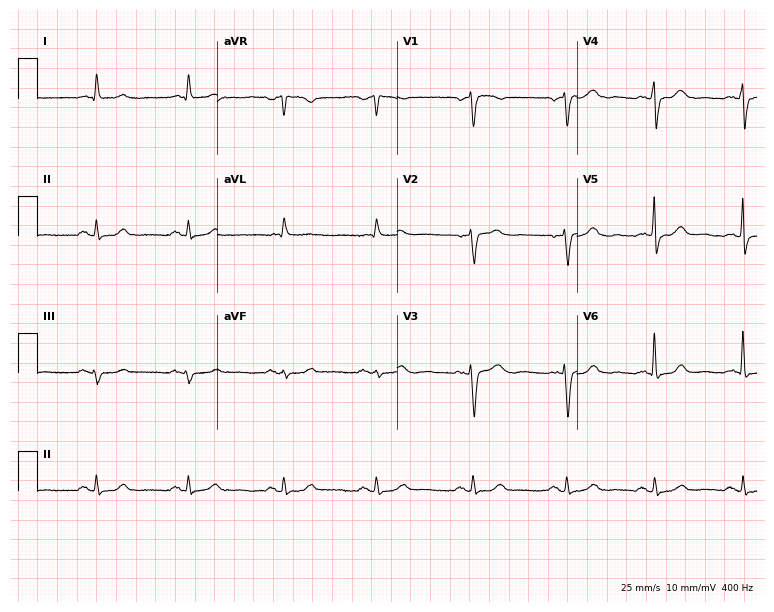
12-lead ECG from a 60-year-old woman (7.3-second recording at 400 Hz). Recorded interpretation: within normal limits.